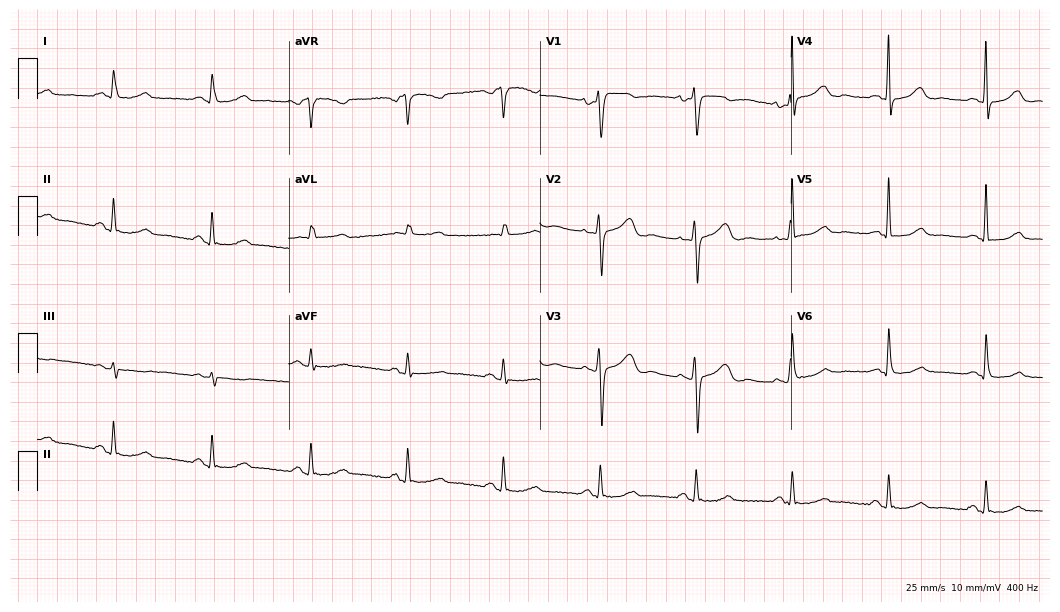
Standard 12-lead ECG recorded from a 57-year-old female (10.2-second recording at 400 Hz). Read as a normal ECG.